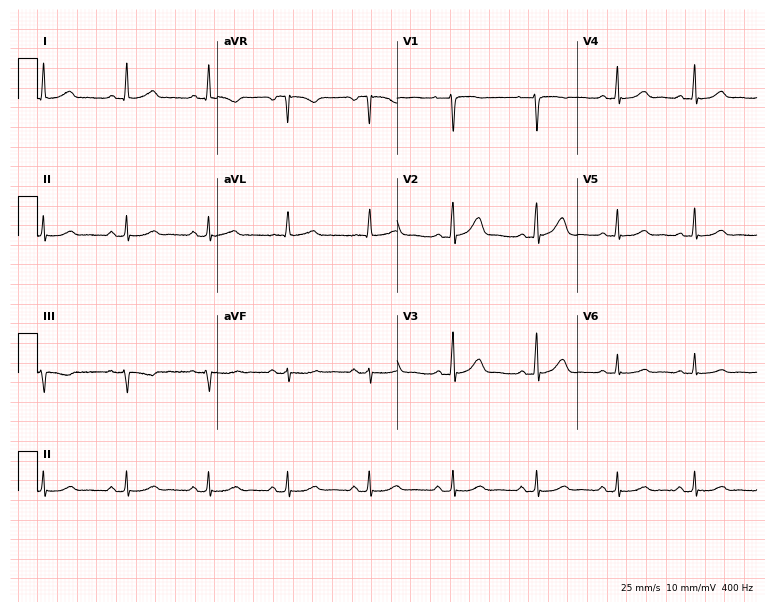
Standard 12-lead ECG recorded from a female, 46 years old. Read as a normal ECG.